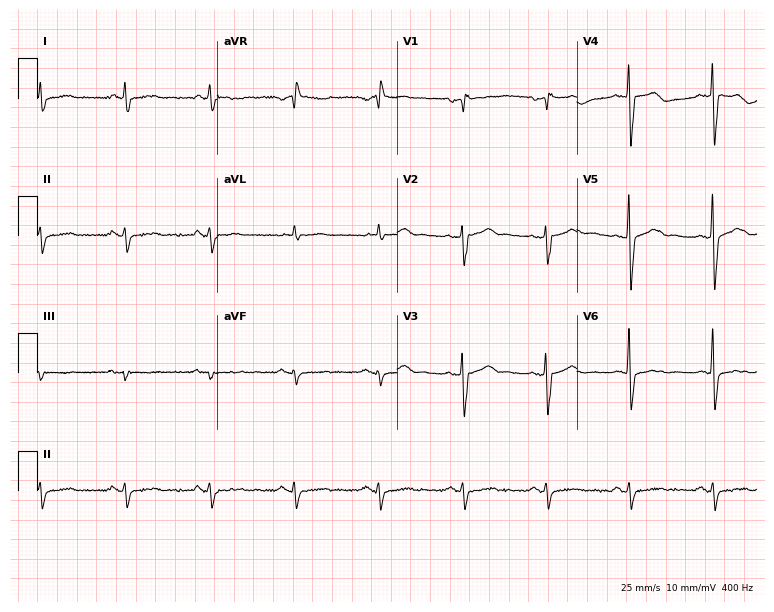
Standard 12-lead ECG recorded from a 71-year-old male patient (7.3-second recording at 400 Hz). None of these six findings is recorded: first-degree AV block, right bundle branch block, left bundle branch block, sinus bradycardia, atrial fibrillation, sinus tachycardia. Other findings, if any, are not listed.